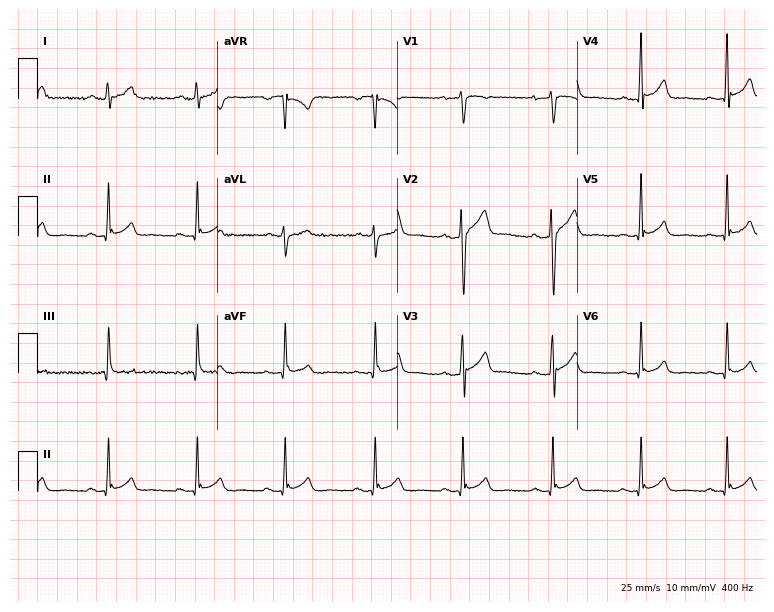
Electrocardiogram (7.3-second recording at 400 Hz), a male patient, 25 years old. Of the six screened findings (first-degree AV block, right bundle branch block (RBBB), left bundle branch block (LBBB), sinus bradycardia, atrial fibrillation (AF), sinus tachycardia), none is recorded. Findings outside these six are not listed.